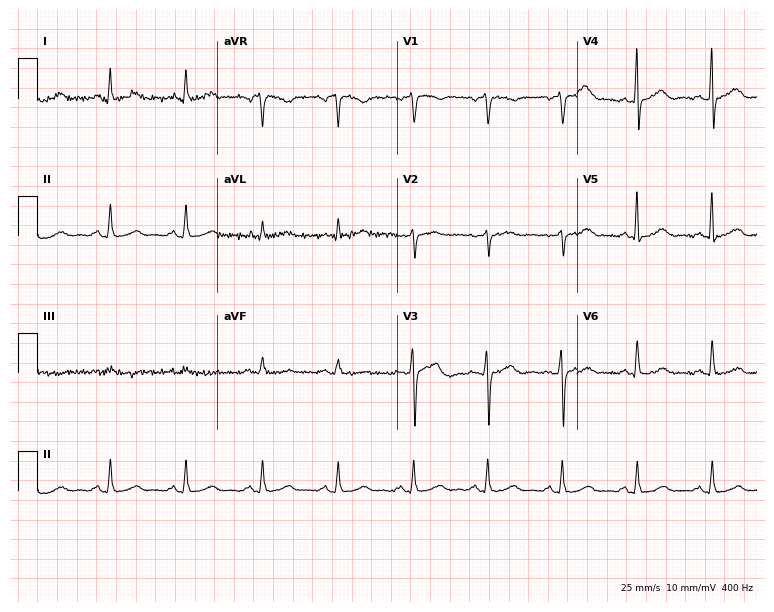
Electrocardiogram (7.3-second recording at 400 Hz), a woman, 51 years old. Overall reading on record: normal ECG.